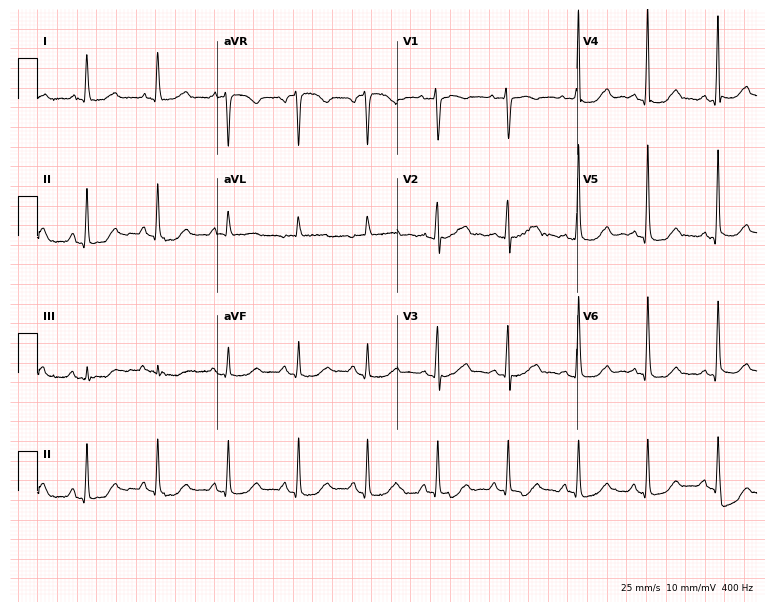
12-lead ECG from a female, 65 years old (7.3-second recording at 400 Hz). No first-degree AV block, right bundle branch block (RBBB), left bundle branch block (LBBB), sinus bradycardia, atrial fibrillation (AF) or sinus tachycardia recorded for this tracing. Only these six findings were labelled.